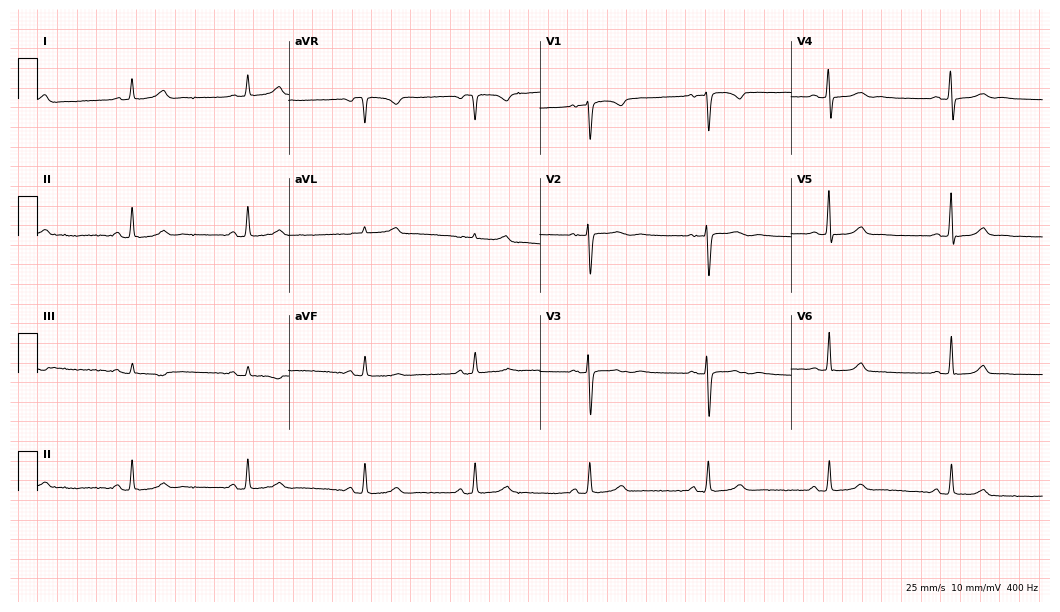
12-lead ECG (10.2-second recording at 400 Hz) from a 47-year-old woman. Labelled as a normal ECG.